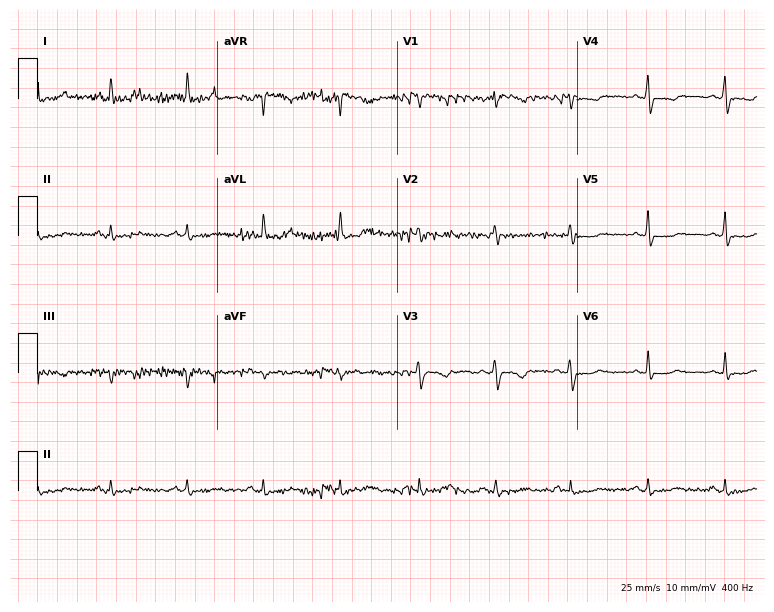
Electrocardiogram, a 43-year-old female patient. Of the six screened findings (first-degree AV block, right bundle branch block (RBBB), left bundle branch block (LBBB), sinus bradycardia, atrial fibrillation (AF), sinus tachycardia), none is recorded.